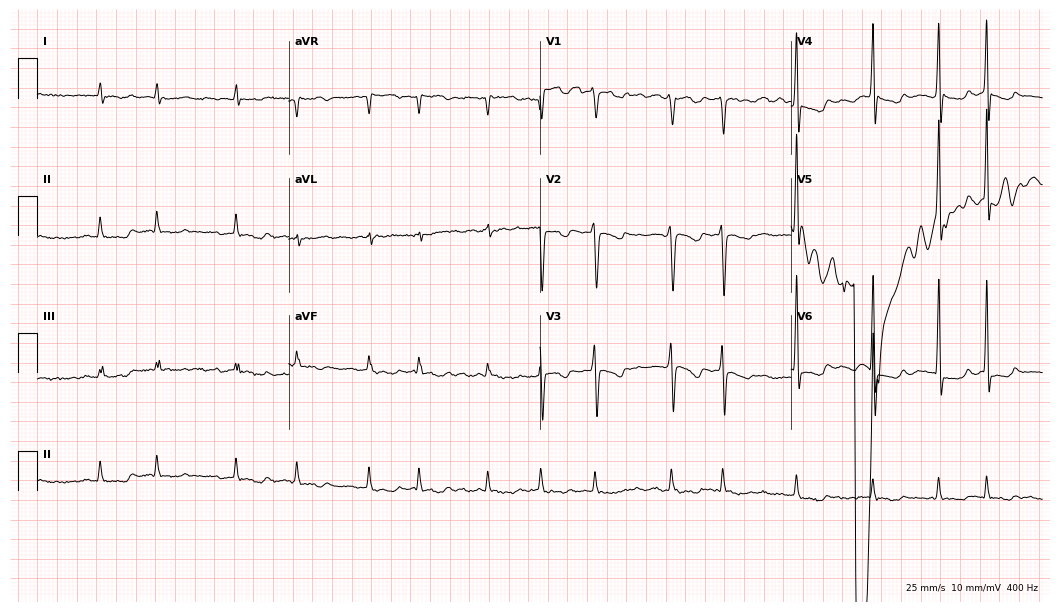
Standard 12-lead ECG recorded from a 76-year-old male patient. None of these six findings is recorded: first-degree AV block, right bundle branch block (RBBB), left bundle branch block (LBBB), sinus bradycardia, atrial fibrillation (AF), sinus tachycardia.